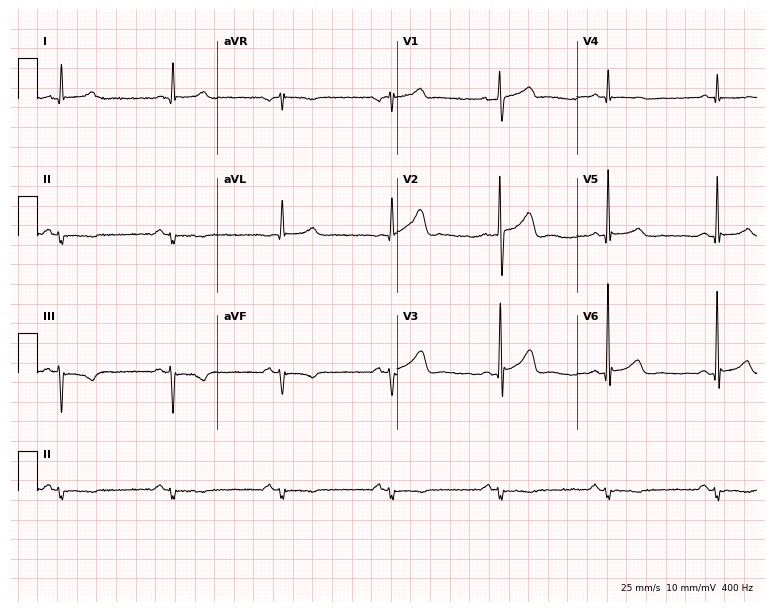
Electrocardiogram, a 65-year-old man. Of the six screened findings (first-degree AV block, right bundle branch block, left bundle branch block, sinus bradycardia, atrial fibrillation, sinus tachycardia), none is recorded.